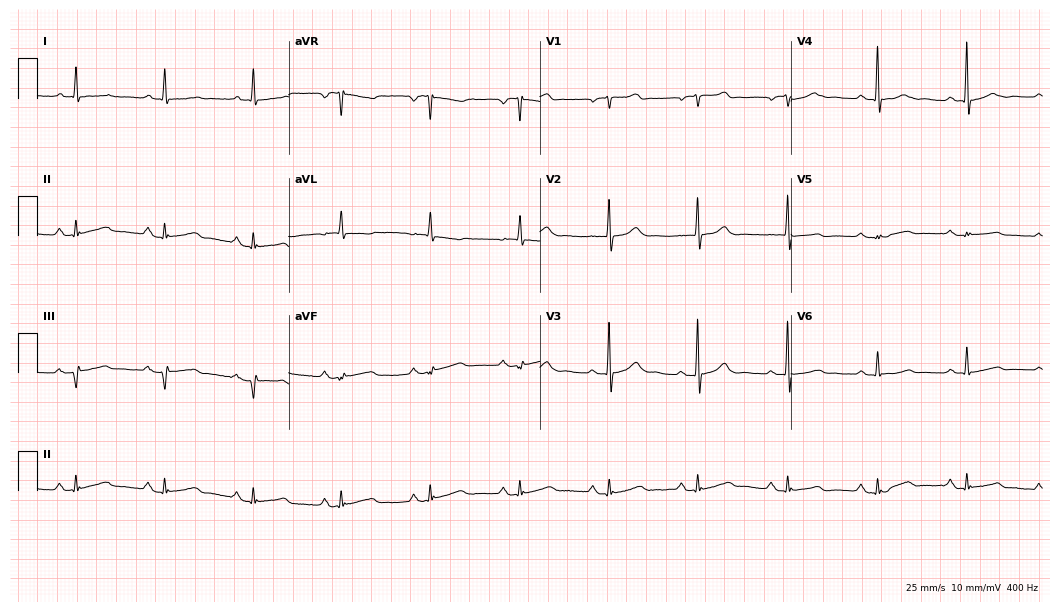
12-lead ECG from a female patient, 75 years old. Screened for six findings — first-degree AV block, right bundle branch block, left bundle branch block, sinus bradycardia, atrial fibrillation, sinus tachycardia — none is recorded. Findings outside these six are not listed.